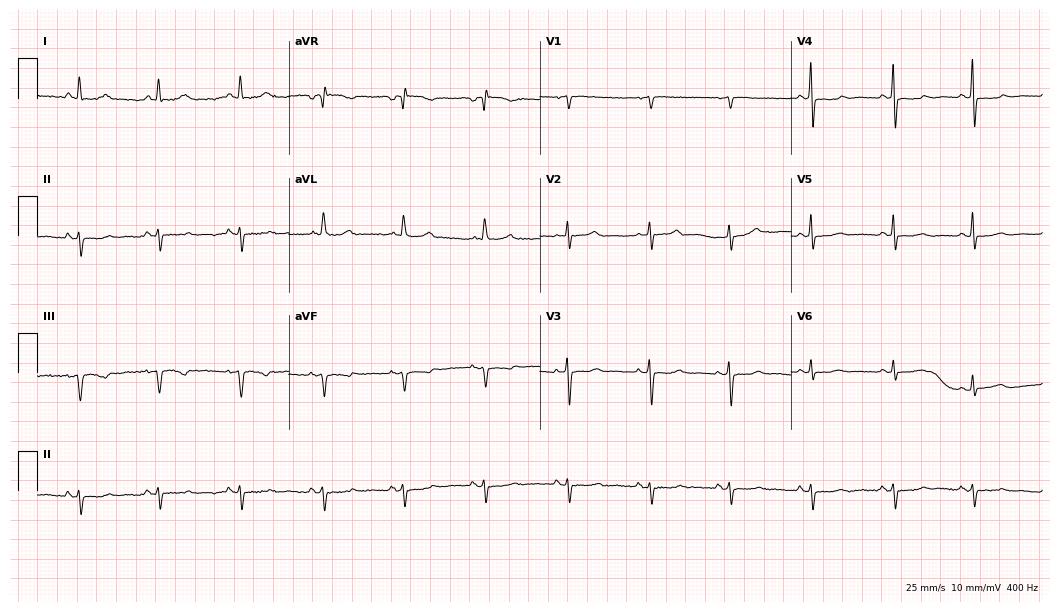
Standard 12-lead ECG recorded from an 82-year-old woman (10.2-second recording at 400 Hz). None of these six findings is recorded: first-degree AV block, right bundle branch block, left bundle branch block, sinus bradycardia, atrial fibrillation, sinus tachycardia.